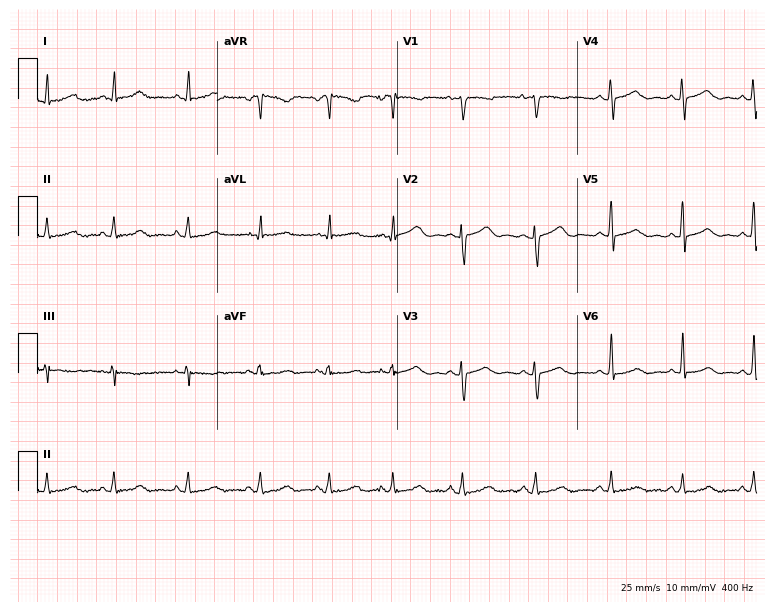
Electrocardiogram (7.3-second recording at 400 Hz), a 29-year-old woman. Overall reading on record: normal ECG.